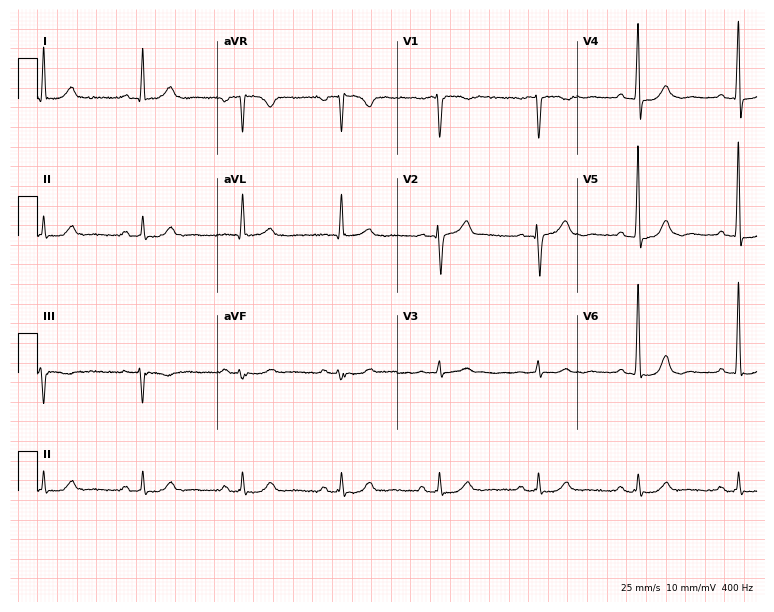
Standard 12-lead ECG recorded from a man, 81 years old (7.3-second recording at 400 Hz). None of these six findings is recorded: first-degree AV block, right bundle branch block, left bundle branch block, sinus bradycardia, atrial fibrillation, sinus tachycardia.